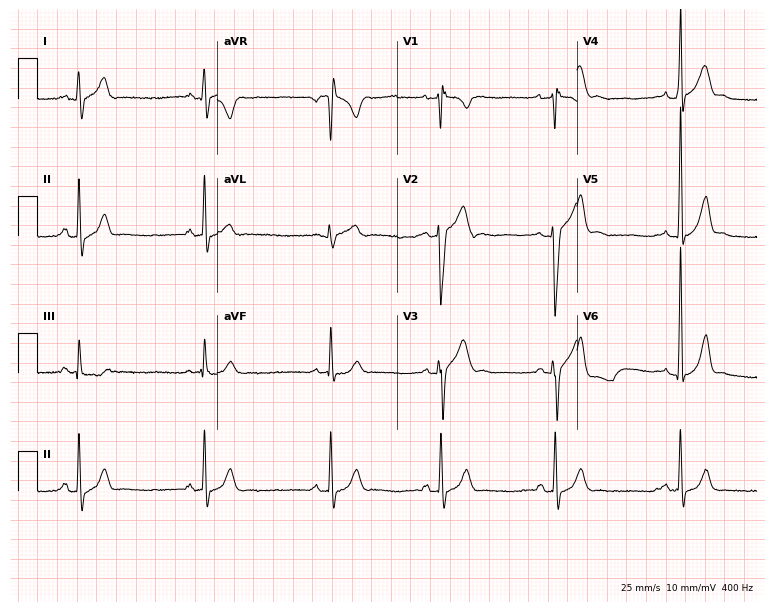
Standard 12-lead ECG recorded from a 17-year-old male (7.3-second recording at 400 Hz). The tracing shows sinus bradycardia (a sinus rate of 50 beats per minute or less).